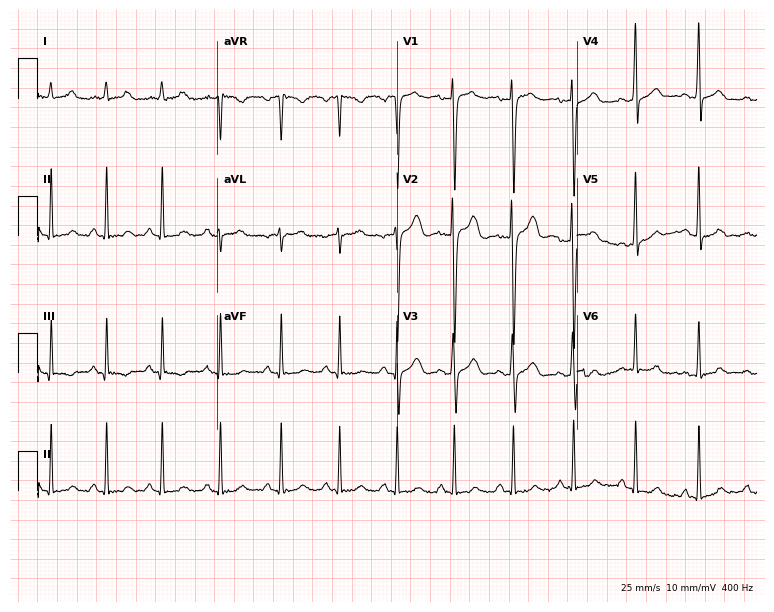
Standard 12-lead ECG recorded from a female, 32 years old (7.3-second recording at 400 Hz). Read as a normal ECG.